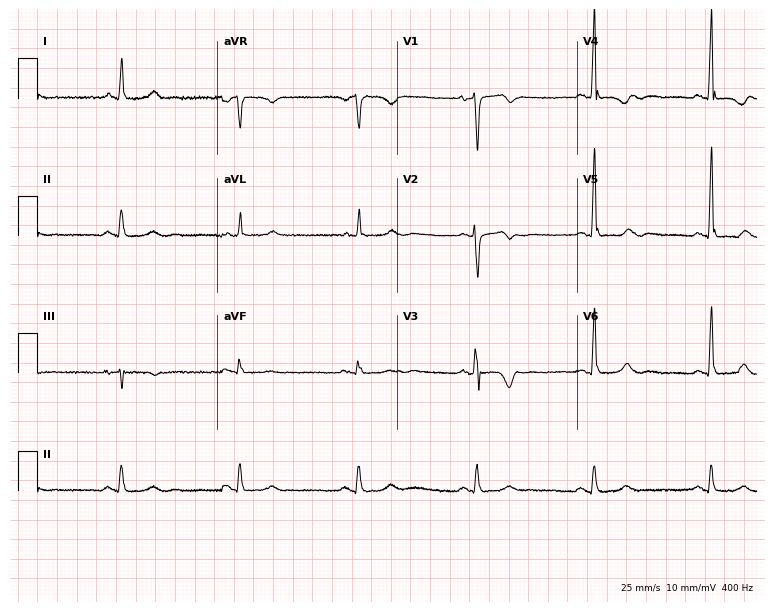
12-lead ECG from a 68-year-old male patient. No first-degree AV block, right bundle branch block, left bundle branch block, sinus bradycardia, atrial fibrillation or sinus tachycardia recorded for this tracing.